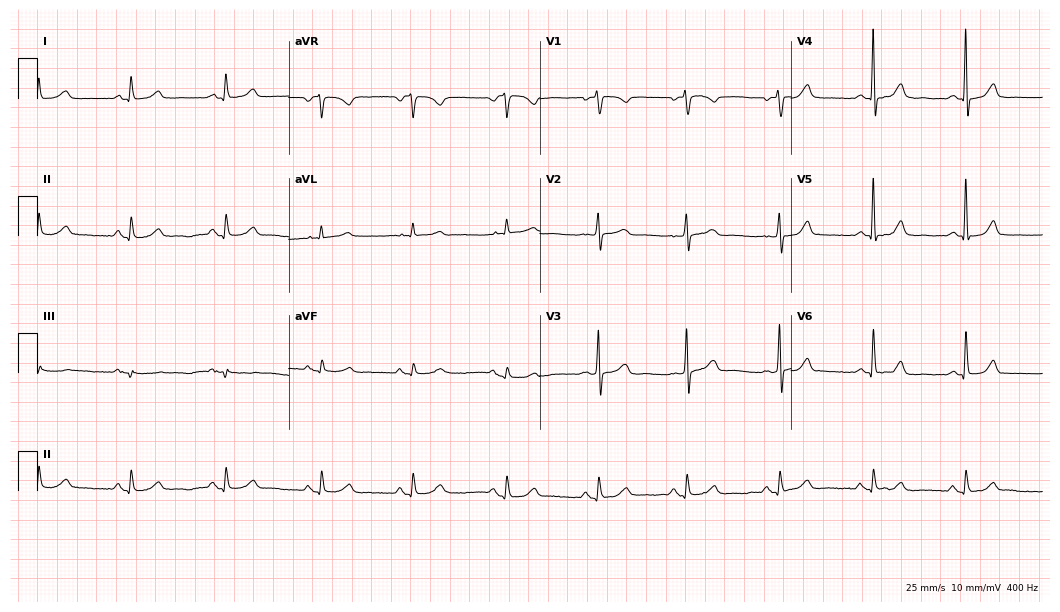
12-lead ECG from a 48-year-old female patient. Labelled as a normal ECG.